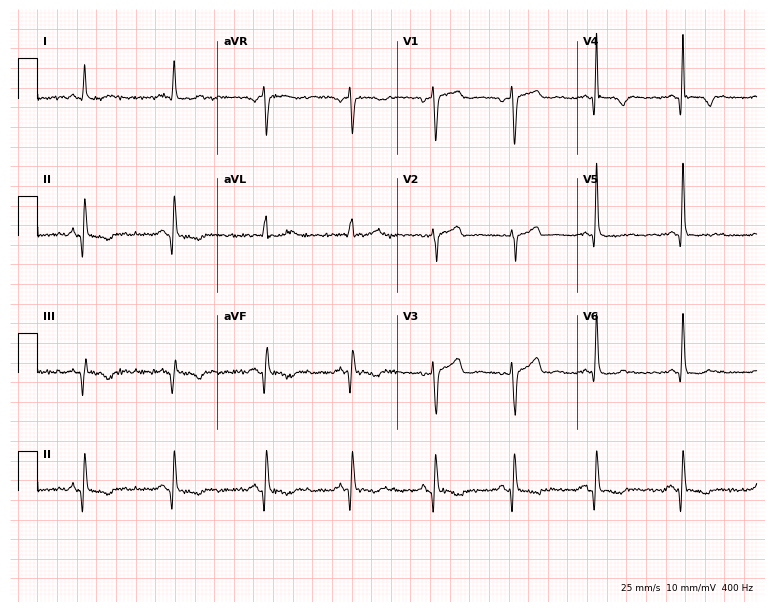
Resting 12-lead electrocardiogram. Patient: a male, 43 years old. None of these six findings is recorded: first-degree AV block, right bundle branch block, left bundle branch block, sinus bradycardia, atrial fibrillation, sinus tachycardia. Only these six findings were labelled.